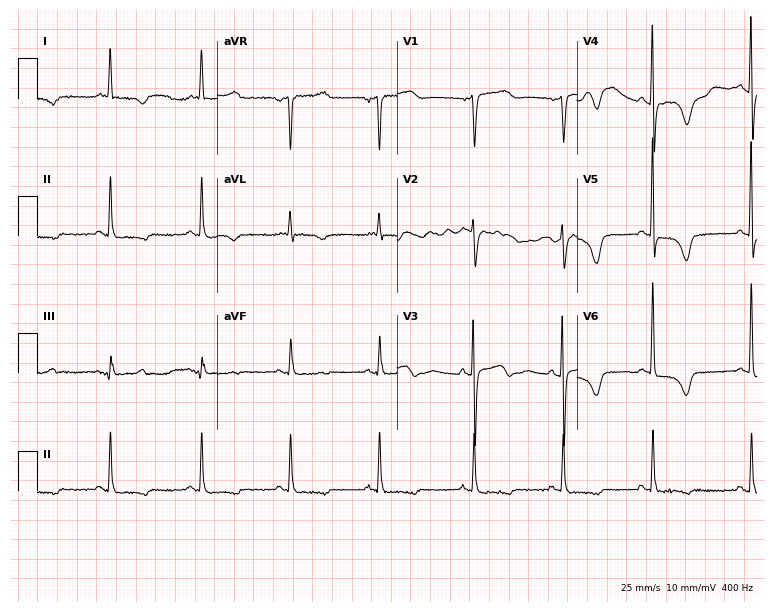
Standard 12-lead ECG recorded from a 69-year-old female (7.3-second recording at 400 Hz). None of these six findings is recorded: first-degree AV block, right bundle branch block (RBBB), left bundle branch block (LBBB), sinus bradycardia, atrial fibrillation (AF), sinus tachycardia.